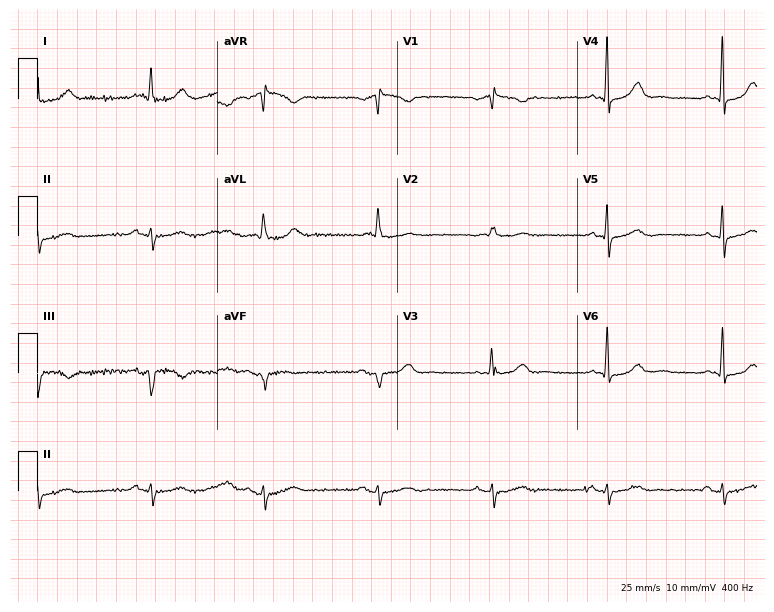
Resting 12-lead electrocardiogram (7.3-second recording at 400 Hz). Patient: a 78-year-old male. None of these six findings is recorded: first-degree AV block, right bundle branch block, left bundle branch block, sinus bradycardia, atrial fibrillation, sinus tachycardia.